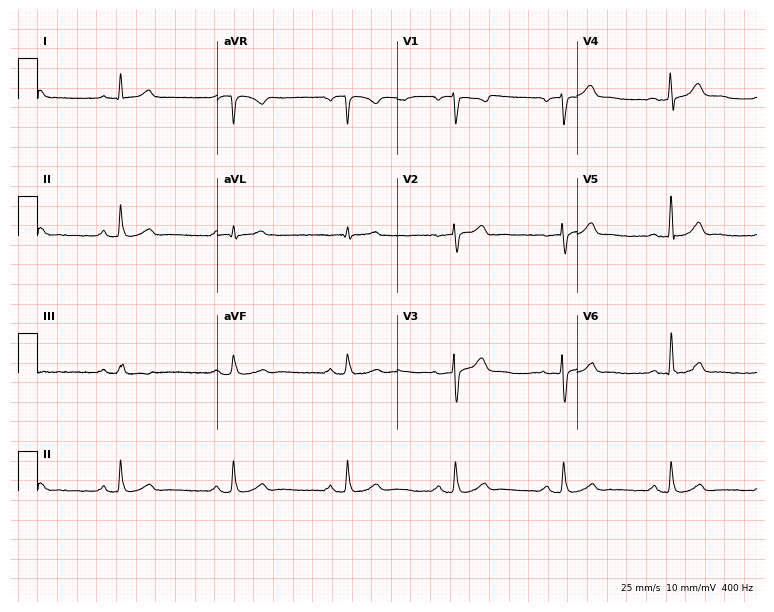
Standard 12-lead ECG recorded from a man, 55 years old. Read as a normal ECG.